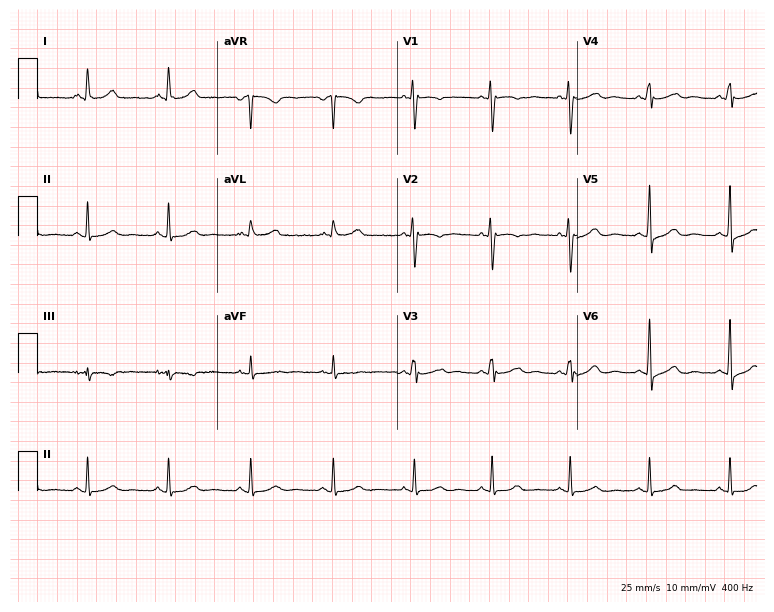
12-lead ECG (7.3-second recording at 400 Hz) from a 34-year-old female. Screened for six findings — first-degree AV block, right bundle branch block, left bundle branch block, sinus bradycardia, atrial fibrillation, sinus tachycardia — none is recorded.